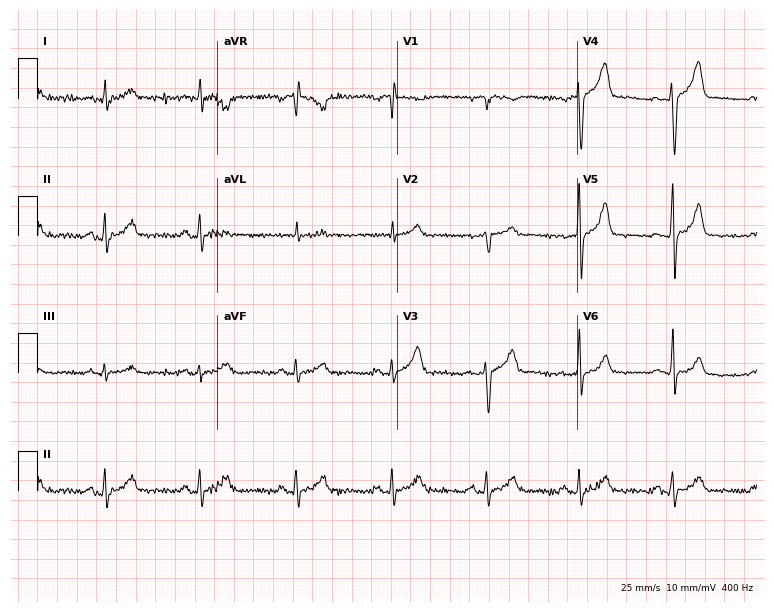
Resting 12-lead electrocardiogram. Patient: a male, 53 years old. None of these six findings is recorded: first-degree AV block, right bundle branch block, left bundle branch block, sinus bradycardia, atrial fibrillation, sinus tachycardia. Other findings, if any, are not listed.